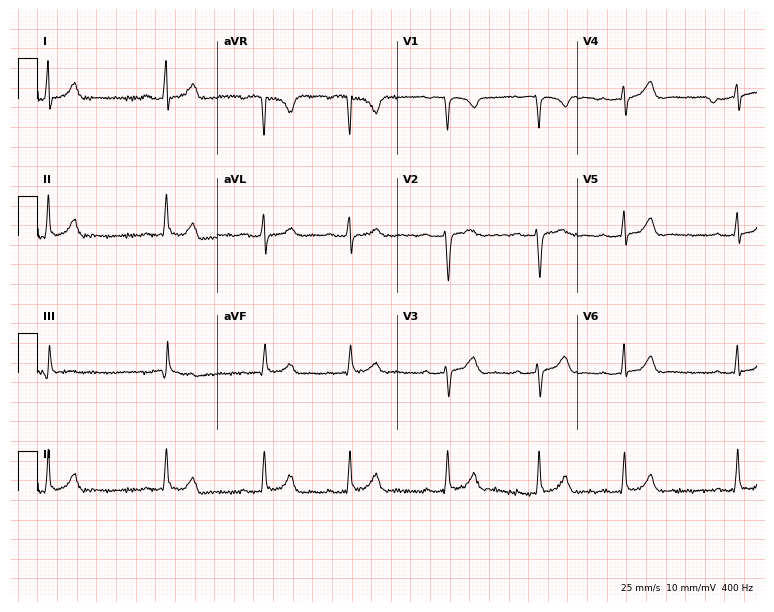
Electrocardiogram (7.3-second recording at 400 Hz), a 22-year-old female patient. Overall reading on record: normal ECG.